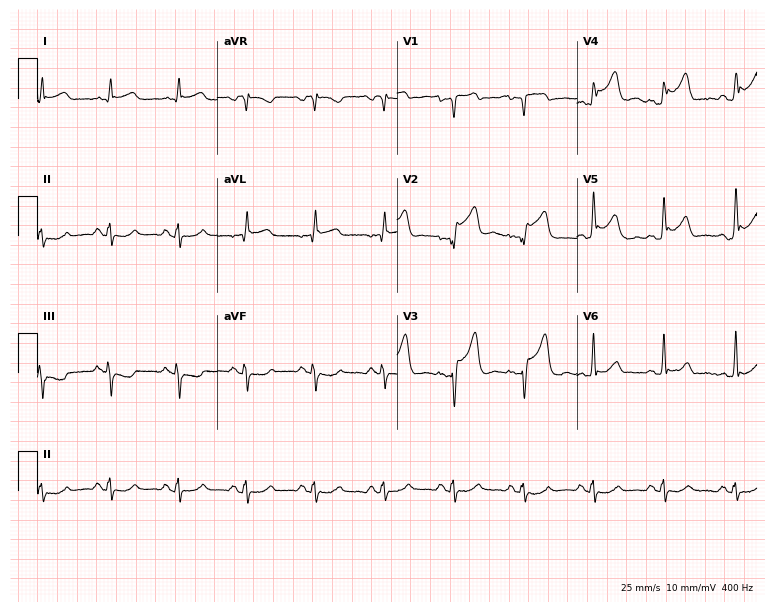
12-lead ECG from a male patient, 62 years old. No first-degree AV block, right bundle branch block (RBBB), left bundle branch block (LBBB), sinus bradycardia, atrial fibrillation (AF) or sinus tachycardia recorded for this tracing. Other findings, if any, are not listed.